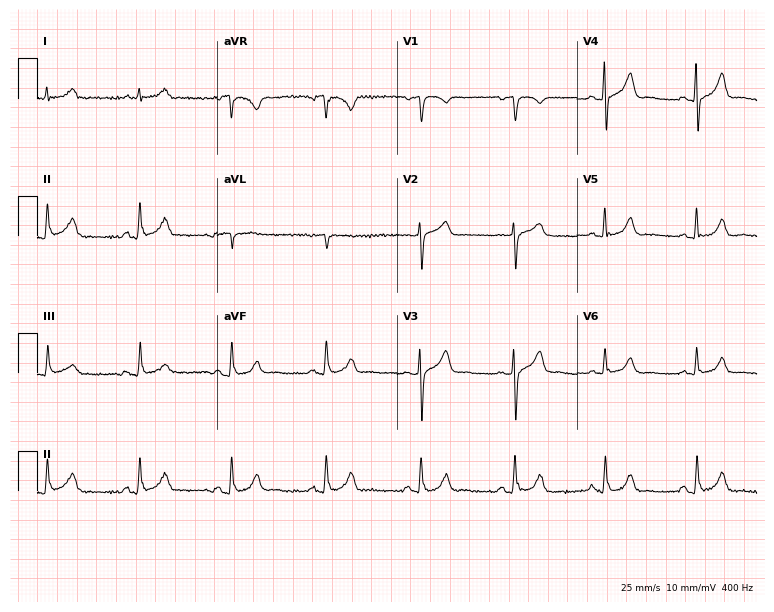
12-lead ECG (7.3-second recording at 400 Hz) from a 64-year-old male patient. Screened for six findings — first-degree AV block, right bundle branch block, left bundle branch block, sinus bradycardia, atrial fibrillation, sinus tachycardia — none is recorded.